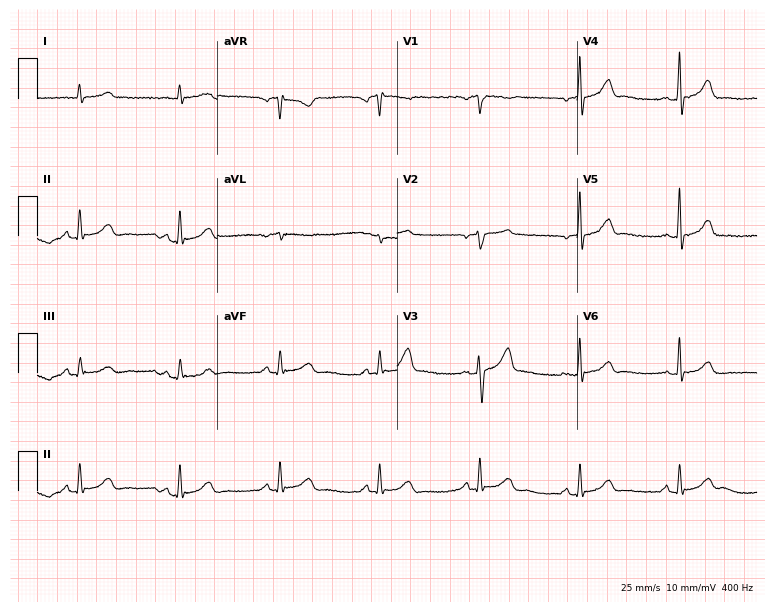
12-lead ECG from a male, 70 years old. Labelled as a normal ECG.